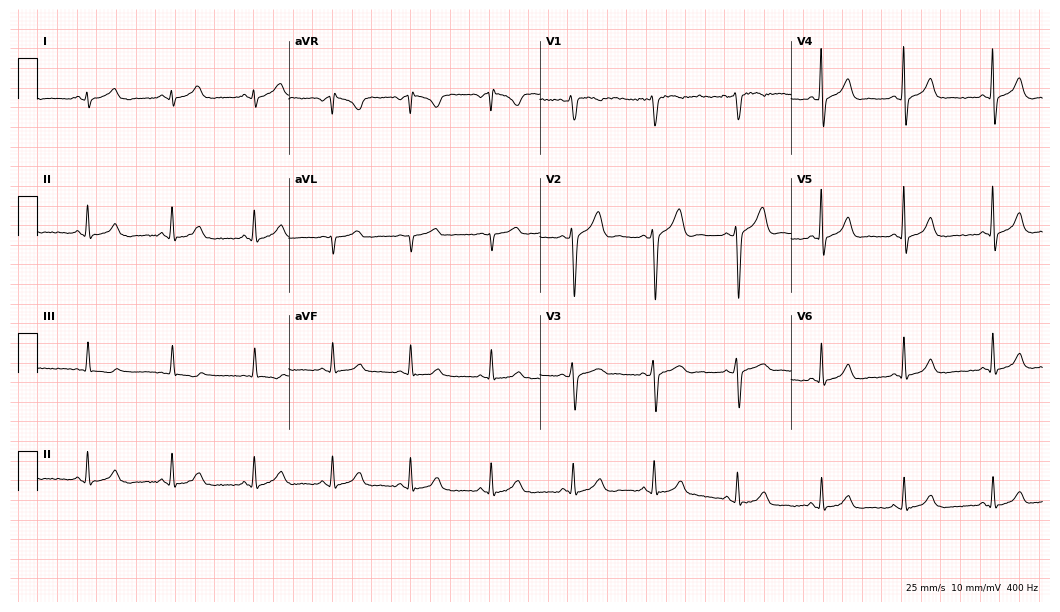
12-lead ECG from a man, 36 years old. Labelled as a normal ECG.